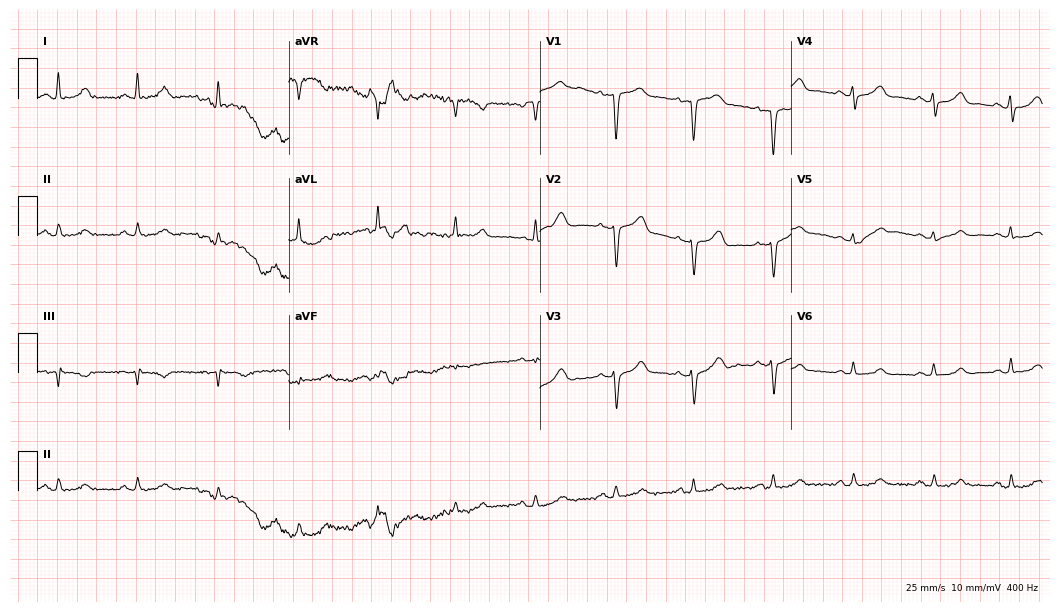
12-lead ECG (10.2-second recording at 400 Hz) from a female, 55 years old. Screened for six findings — first-degree AV block, right bundle branch block (RBBB), left bundle branch block (LBBB), sinus bradycardia, atrial fibrillation (AF), sinus tachycardia — none is recorded. Other findings, if any, are not listed.